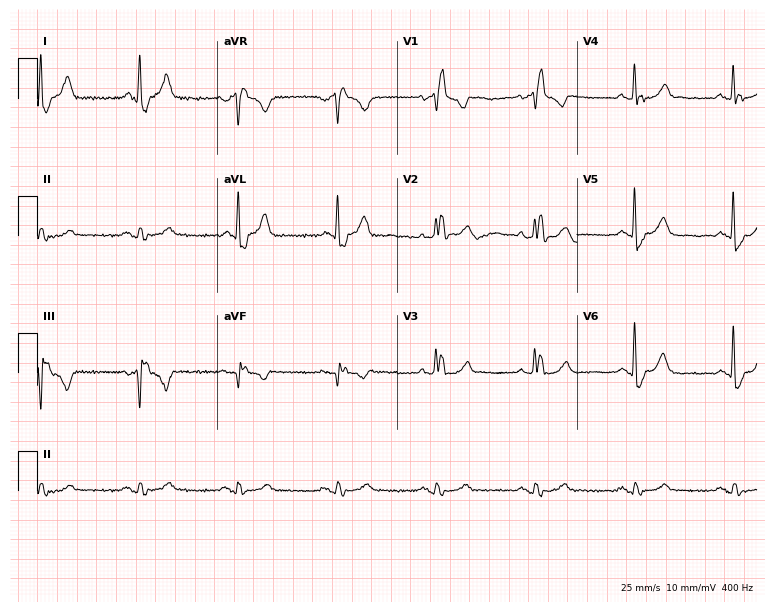
12-lead ECG from a 63-year-old man. Findings include right bundle branch block.